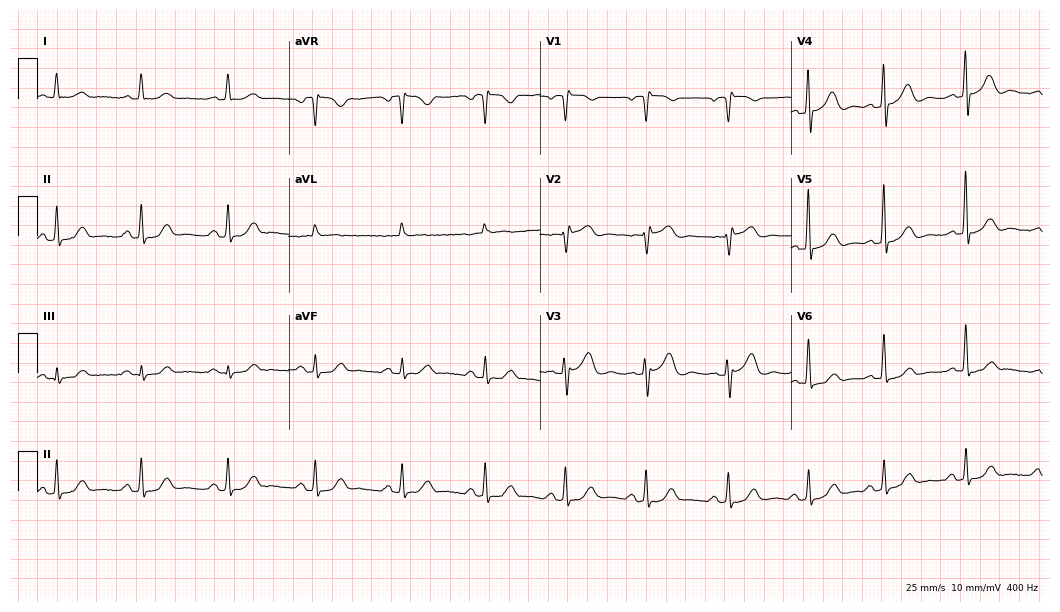
12-lead ECG (10.2-second recording at 400 Hz) from a woman, 65 years old. Screened for six findings — first-degree AV block, right bundle branch block, left bundle branch block, sinus bradycardia, atrial fibrillation, sinus tachycardia — none is recorded.